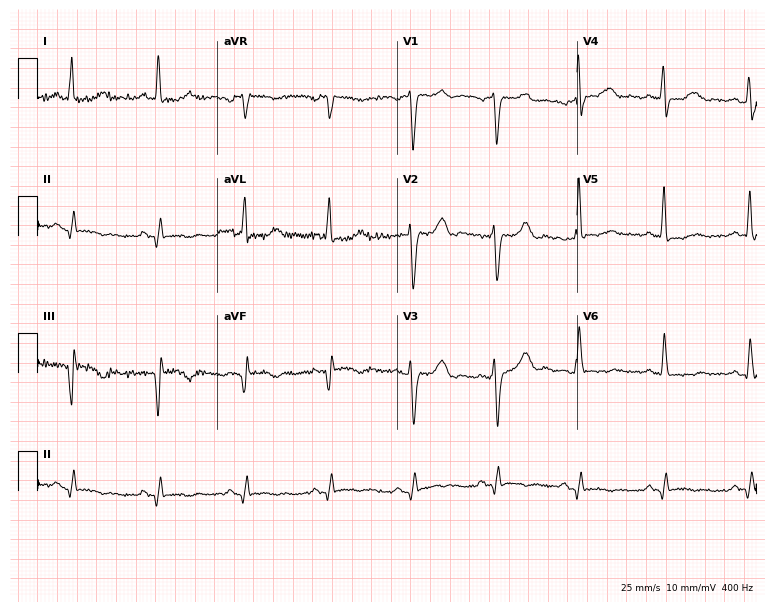
ECG — a female patient, 60 years old. Screened for six findings — first-degree AV block, right bundle branch block, left bundle branch block, sinus bradycardia, atrial fibrillation, sinus tachycardia — none is recorded. Findings outside these six are not listed.